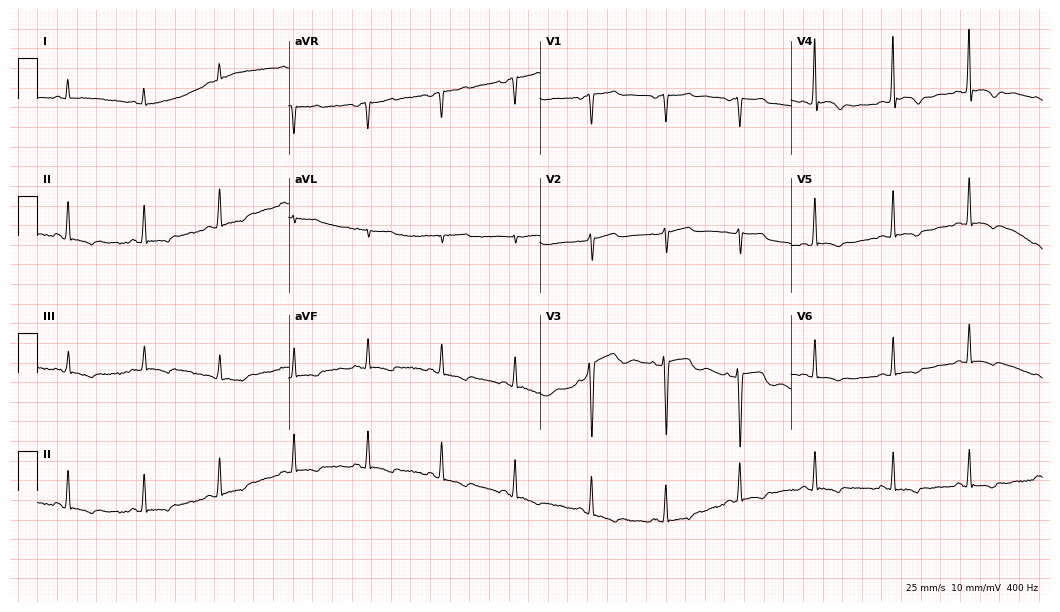
Electrocardiogram (10.2-second recording at 400 Hz), a man, 54 years old. Of the six screened findings (first-degree AV block, right bundle branch block, left bundle branch block, sinus bradycardia, atrial fibrillation, sinus tachycardia), none is recorded.